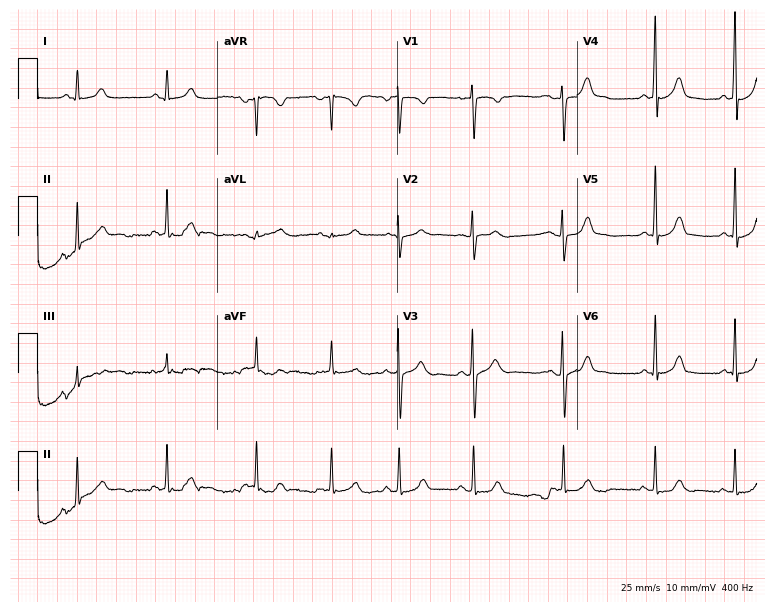
Electrocardiogram, a 19-year-old female patient. Overall reading on record: normal ECG.